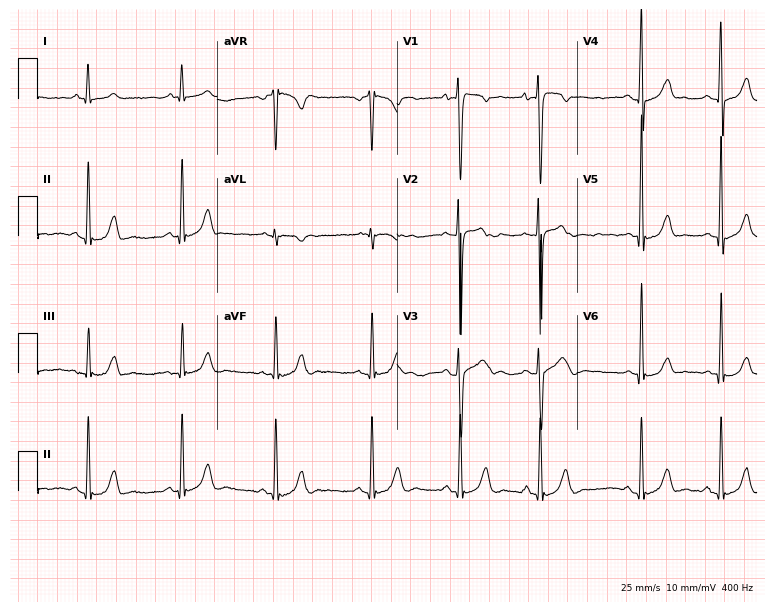
Electrocardiogram (7.3-second recording at 400 Hz), a man, 17 years old. Overall reading on record: normal ECG.